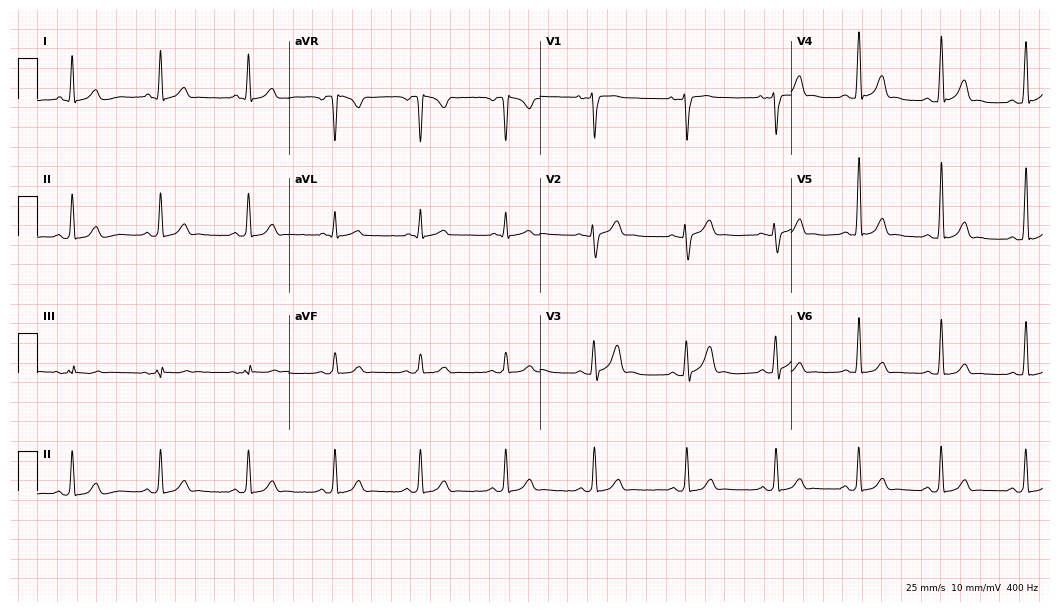
12-lead ECG (10.2-second recording at 400 Hz) from a 20-year-old man. Labelled as a normal ECG.